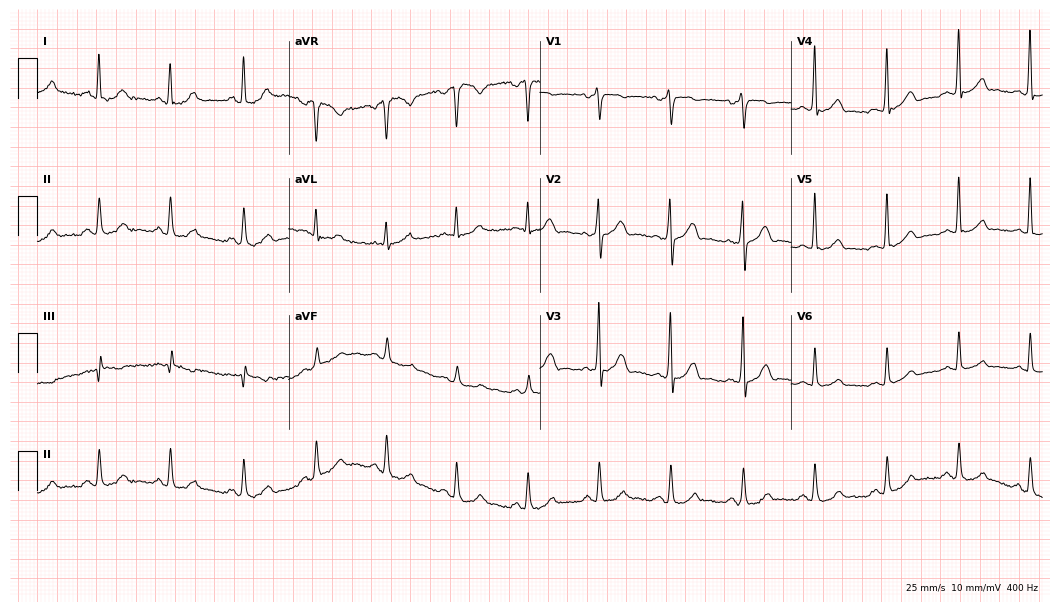
ECG — a male patient, 35 years old. Labelled as a normal ECG.